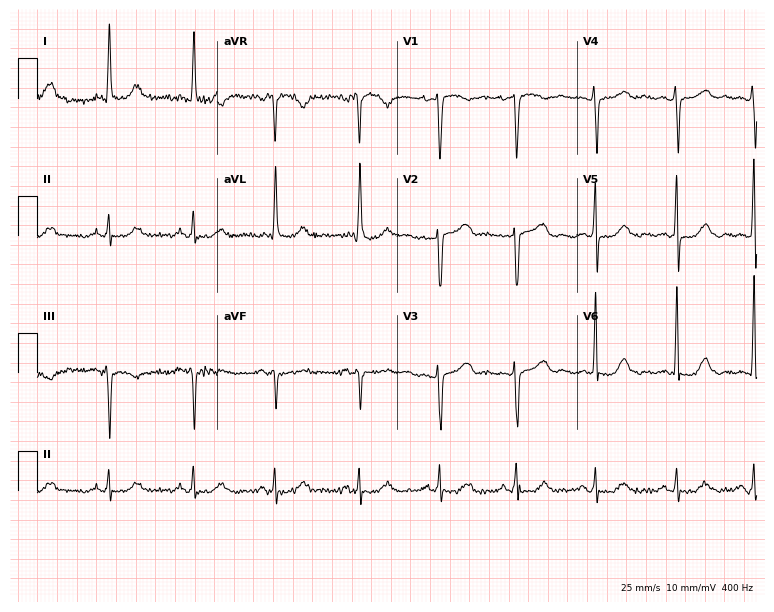
ECG — a 51-year-old female patient. Screened for six findings — first-degree AV block, right bundle branch block, left bundle branch block, sinus bradycardia, atrial fibrillation, sinus tachycardia — none is recorded. Findings outside these six are not listed.